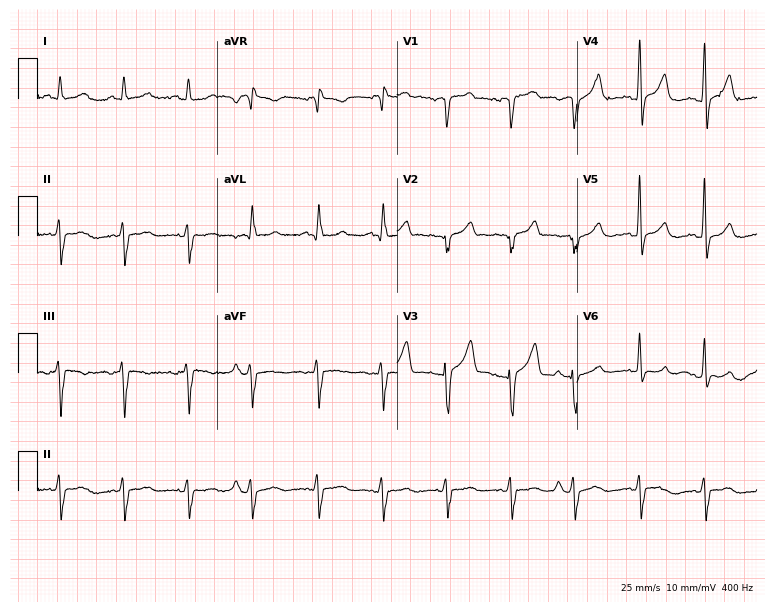
Resting 12-lead electrocardiogram (7.3-second recording at 400 Hz). Patient: a woman, 63 years old. None of these six findings is recorded: first-degree AV block, right bundle branch block, left bundle branch block, sinus bradycardia, atrial fibrillation, sinus tachycardia.